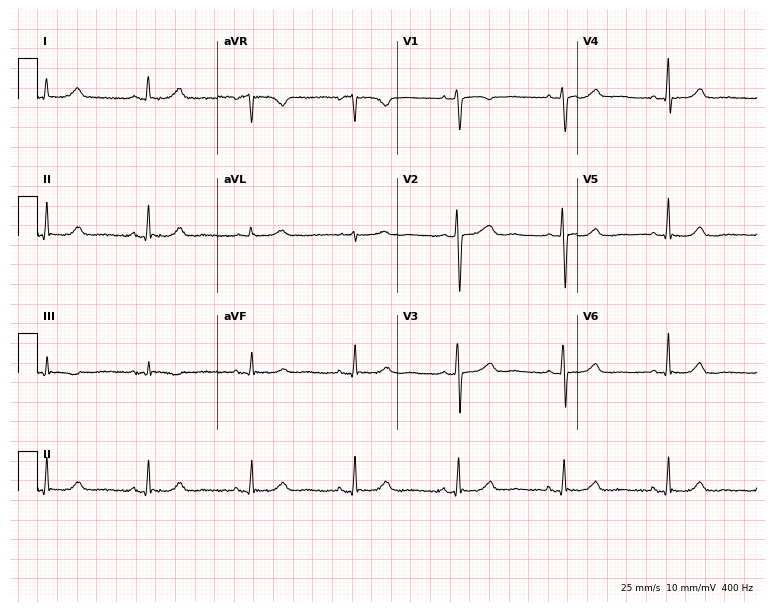
Electrocardiogram, a female patient, 68 years old. Of the six screened findings (first-degree AV block, right bundle branch block (RBBB), left bundle branch block (LBBB), sinus bradycardia, atrial fibrillation (AF), sinus tachycardia), none is recorded. Findings outside these six are not listed.